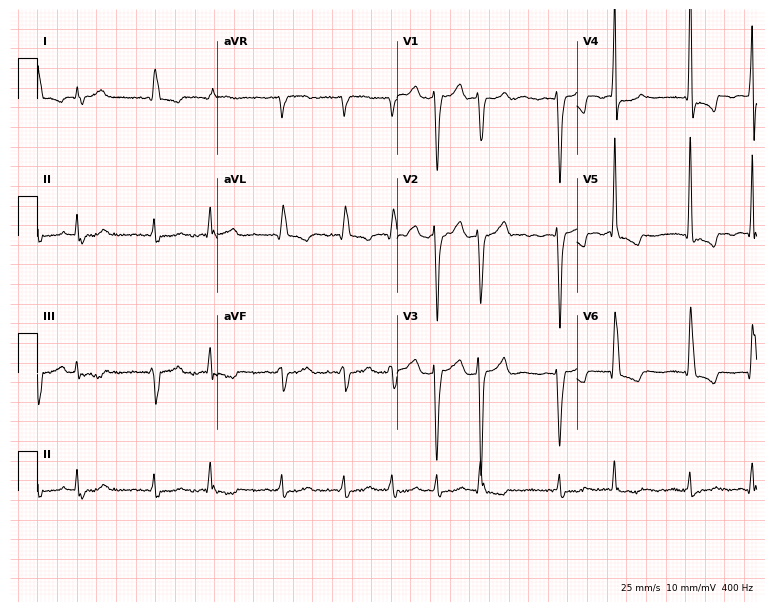
Standard 12-lead ECG recorded from a female patient, 62 years old (7.3-second recording at 400 Hz). The tracing shows atrial fibrillation.